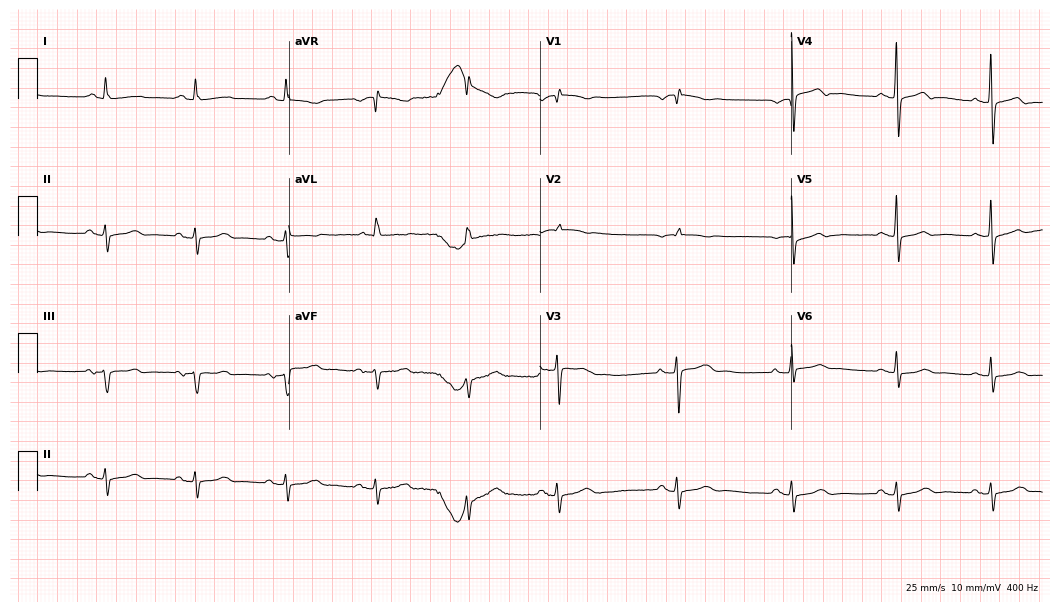
Standard 12-lead ECG recorded from a 79-year-old female. None of these six findings is recorded: first-degree AV block, right bundle branch block (RBBB), left bundle branch block (LBBB), sinus bradycardia, atrial fibrillation (AF), sinus tachycardia.